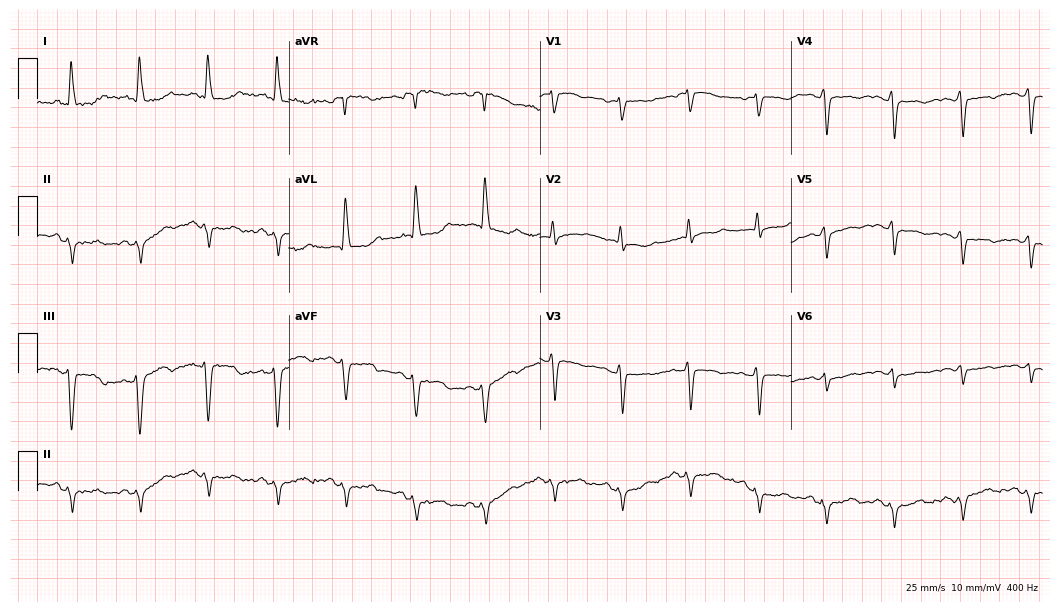
12-lead ECG from a woman, 65 years old (10.2-second recording at 400 Hz). No first-degree AV block, right bundle branch block, left bundle branch block, sinus bradycardia, atrial fibrillation or sinus tachycardia recorded for this tracing.